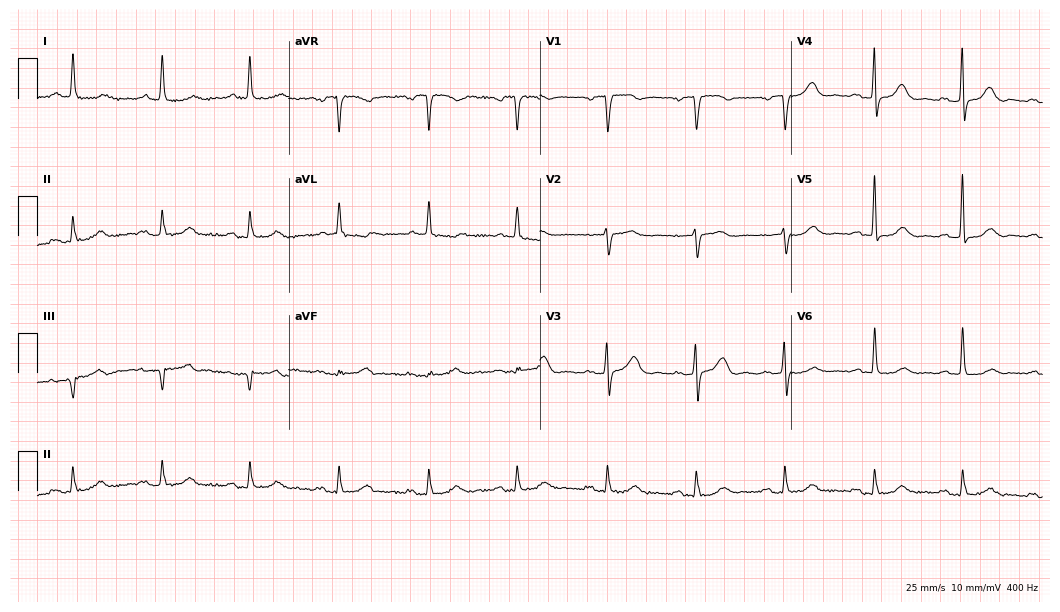
Resting 12-lead electrocardiogram (10.2-second recording at 400 Hz). Patient: a 79-year-old male. None of these six findings is recorded: first-degree AV block, right bundle branch block (RBBB), left bundle branch block (LBBB), sinus bradycardia, atrial fibrillation (AF), sinus tachycardia. Findings outside these six are not listed.